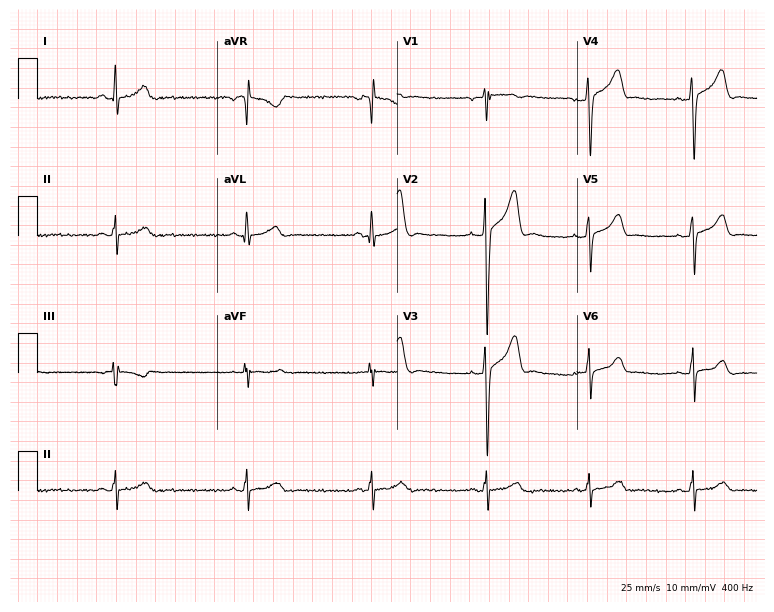
12-lead ECG (7.3-second recording at 400 Hz) from a 26-year-old male. Findings include sinus bradycardia (a sinus rate of 50 beats per minute or less).